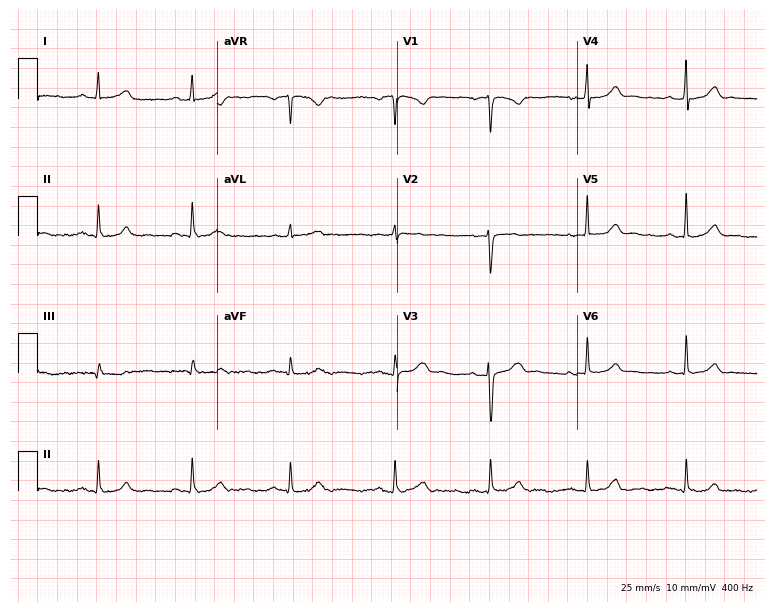
Standard 12-lead ECG recorded from a female, 45 years old. Read as a normal ECG.